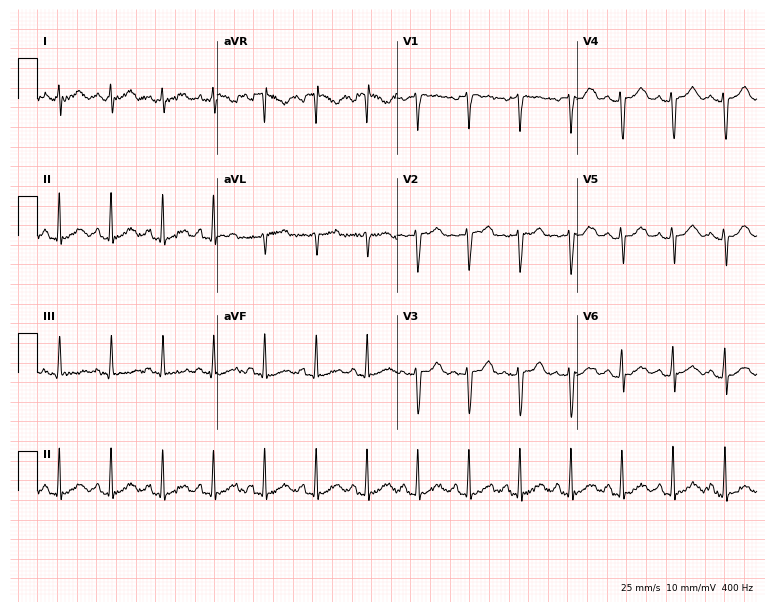
Electrocardiogram (7.3-second recording at 400 Hz), a 36-year-old female. Interpretation includes sinus tachycardia (a sinus rate of 100 beats per minute or more).